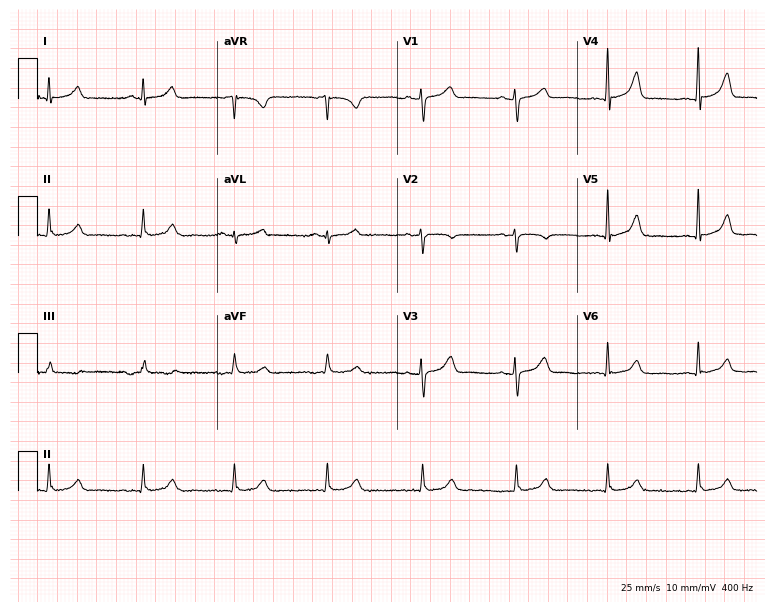
Standard 12-lead ECG recorded from a female patient, 55 years old. None of these six findings is recorded: first-degree AV block, right bundle branch block, left bundle branch block, sinus bradycardia, atrial fibrillation, sinus tachycardia.